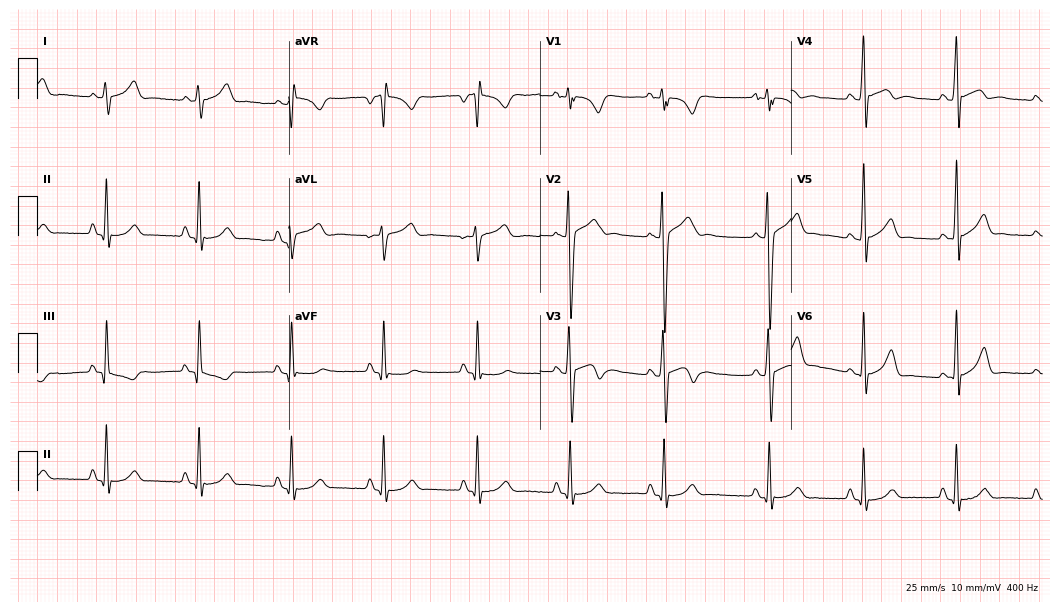
12-lead ECG from a male, 17 years old (10.2-second recording at 400 Hz). Recorded interpretation: within normal limits.